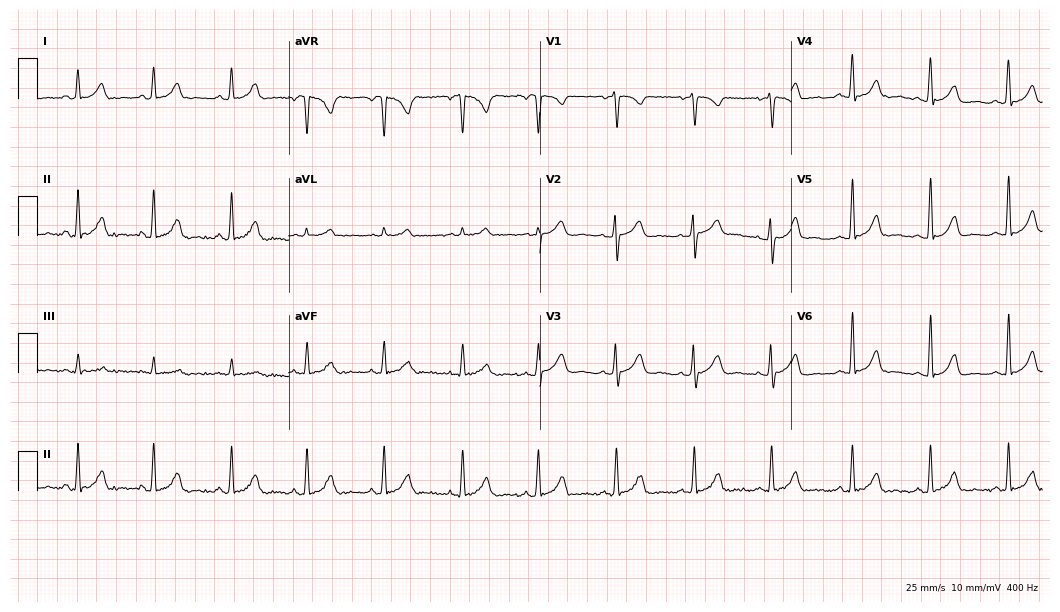
ECG — a 39-year-old female patient. Labelled as a normal ECG.